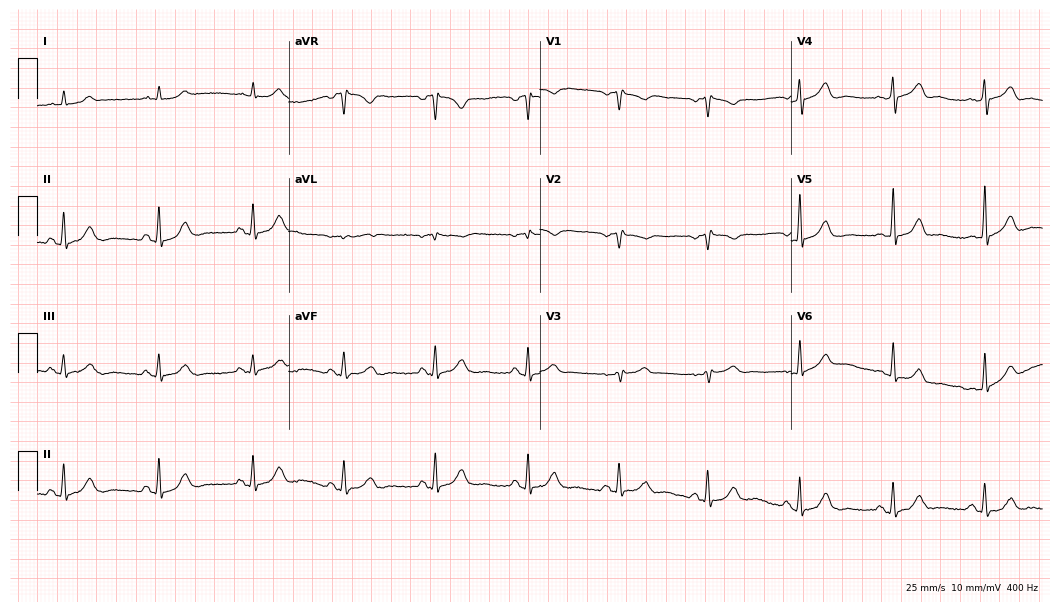
12-lead ECG from a 64-year-old male patient. Recorded interpretation: within normal limits.